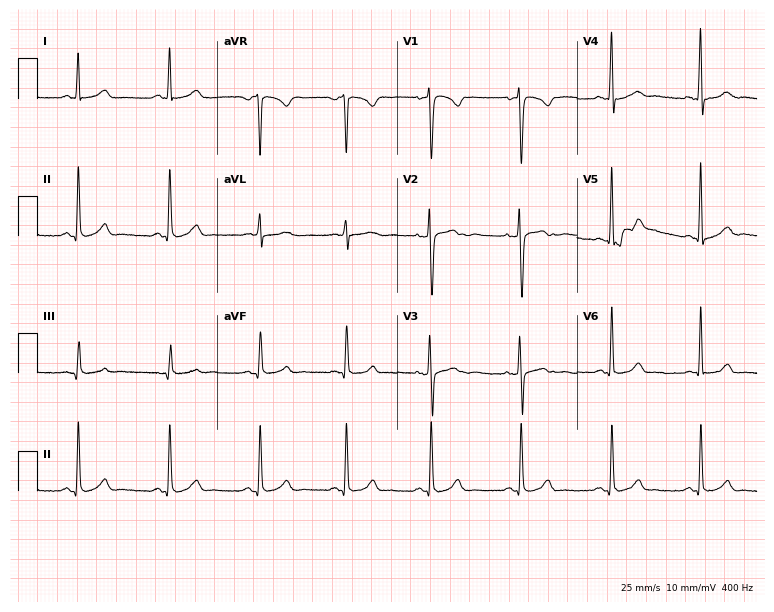
ECG (7.3-second recording at 400 Hz) — a female, 33 years old. Labelled as a normal ECG.